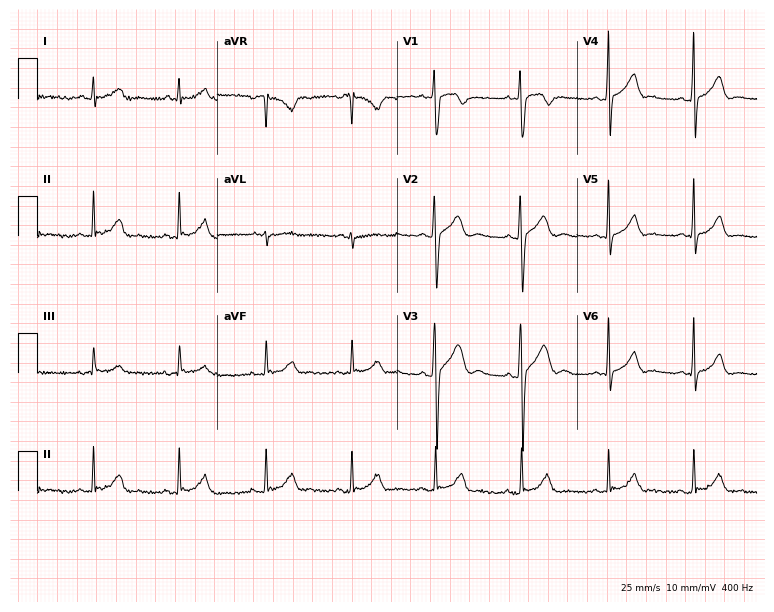
Standard 12-lead ECG recorded from a 27-year-old male patient. Read as a normal ECG.